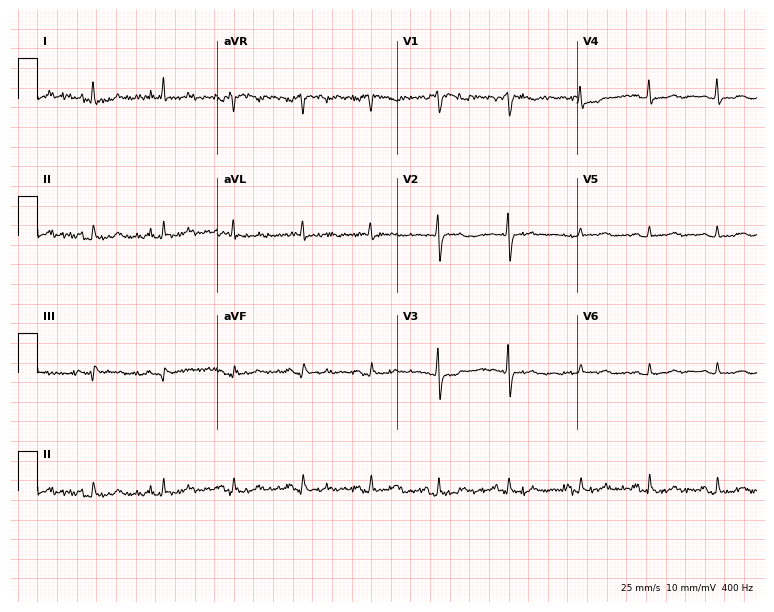
Electrocardiogram (7.3-second recording at 400 Hz), a female, 59 years old. Of the six screened findings (first-degree AV block, right bundle branch block, left bundle branch block, sinus bradycardia, atrial fibrillation, sinus tachycardia), none is recorded. Other findings, if any, are not listed.